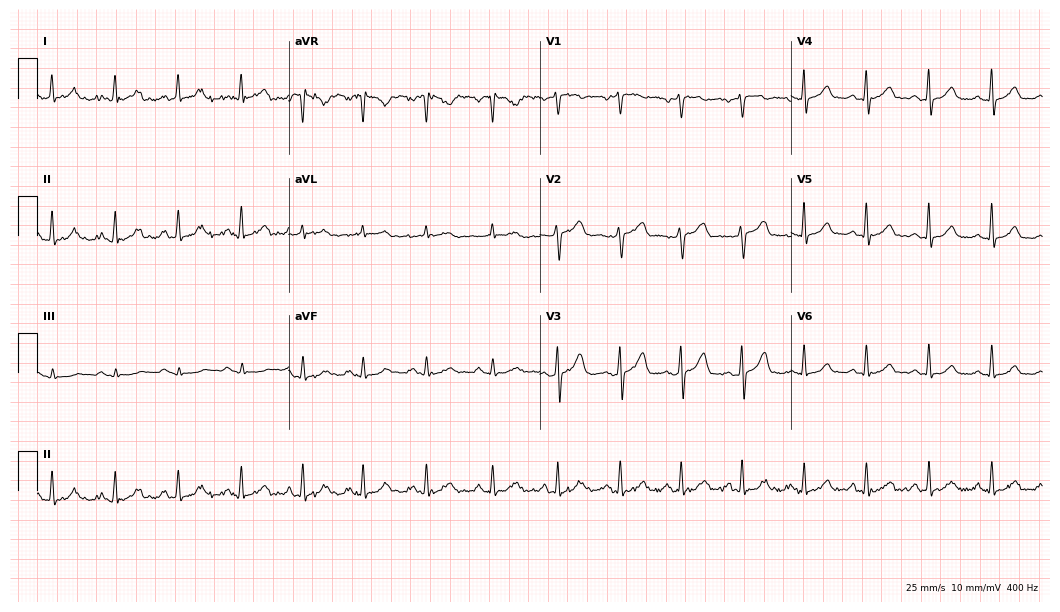
Electrocardiogram (10.2-second recording at 400 Hz), a female patient, 61 years old. Overall reading on record: normal ECG.